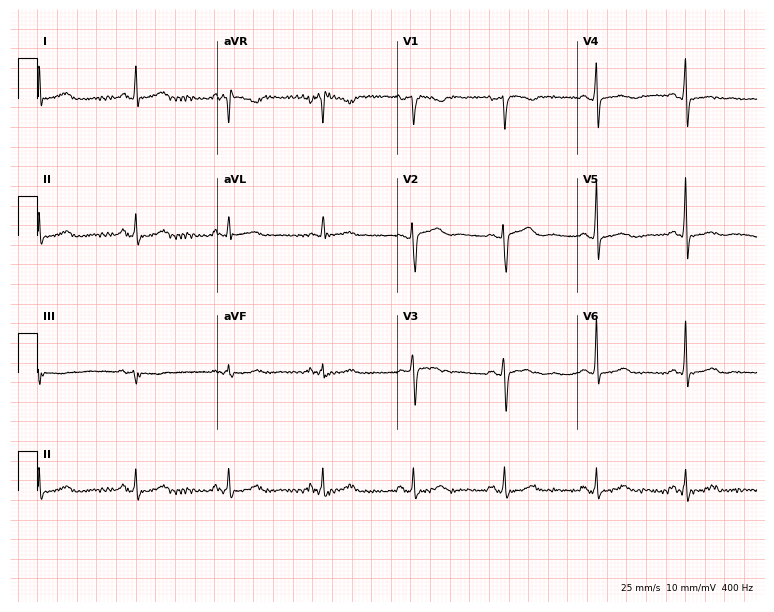
ECG (7.3-second recording at 400 Hz) — a female, 52 years old. Labelled as a normal ECG.